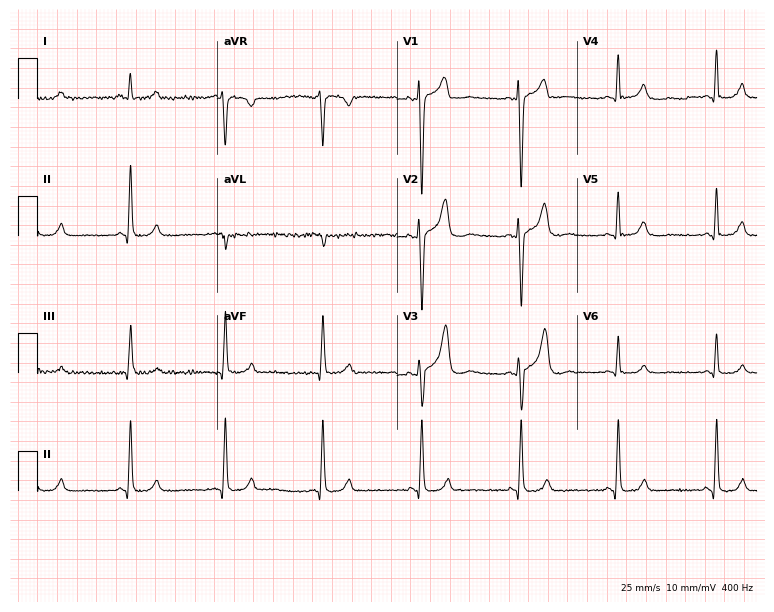
12-lead ECG from a male, 40 years old (7.3-second recording at 400 Hz). No first-degree AV block, right bundle branch block, left bundle branch block, sinus bradycardia, atrial fibrillation or sinus tachycardia recorded for this tracing.